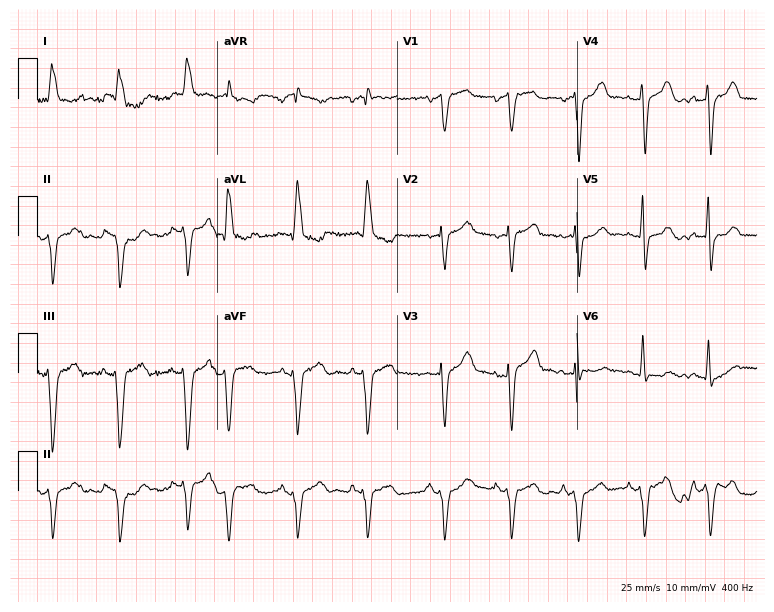
Electrocardiogram (7.3-second recording at 400 Hz), an 82-year-old male patient. Of the six screened findings (first-degree AV block, right bundle branch block, left bundle branch block, sinus bradycardia, atrial fibrillation, sinus tachycardia), none is recorded. Findings outside these six are not listed.